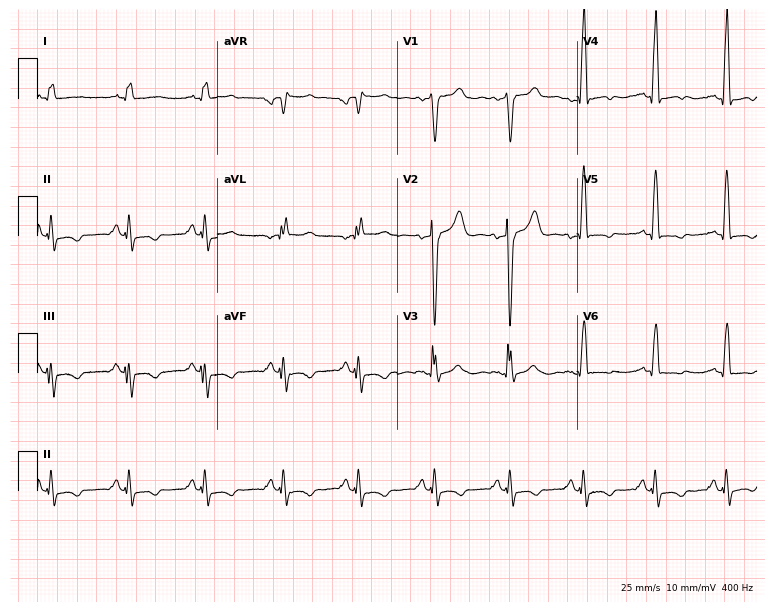
Electrocardiogram (7.3-second recording at 400 Hz), a male, 35 years old. Of the six screened findings (first-degree AV block, right bundle branch block (RBBB), left bundle branch block (LBBB), sinus bradycardia, atrial fibrillation (AF), sinus tachycardia), none is recorded. Other findings, if any, are not listed.